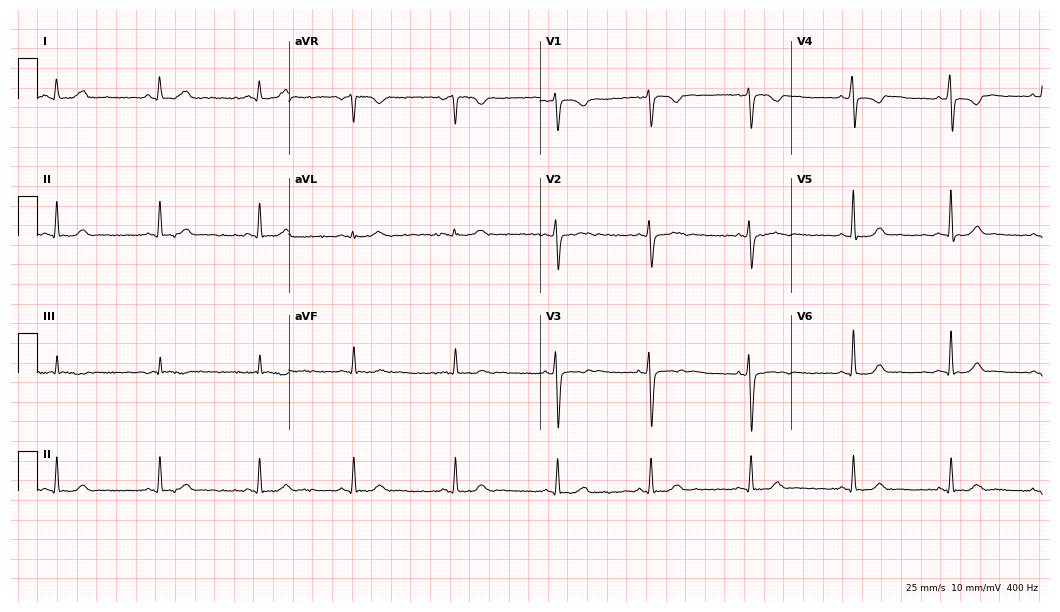
Standard 12-lead ECG recorded from a 19-year-old woman (10.2-second recording at 400 Hz). None of these six findings is recorded: first-degree AV block, right bundle branch block, left bundle branch block, sinus bradycardia, atrial fibrillation, sinus tachycardia. Other findings, if any, are not listed.